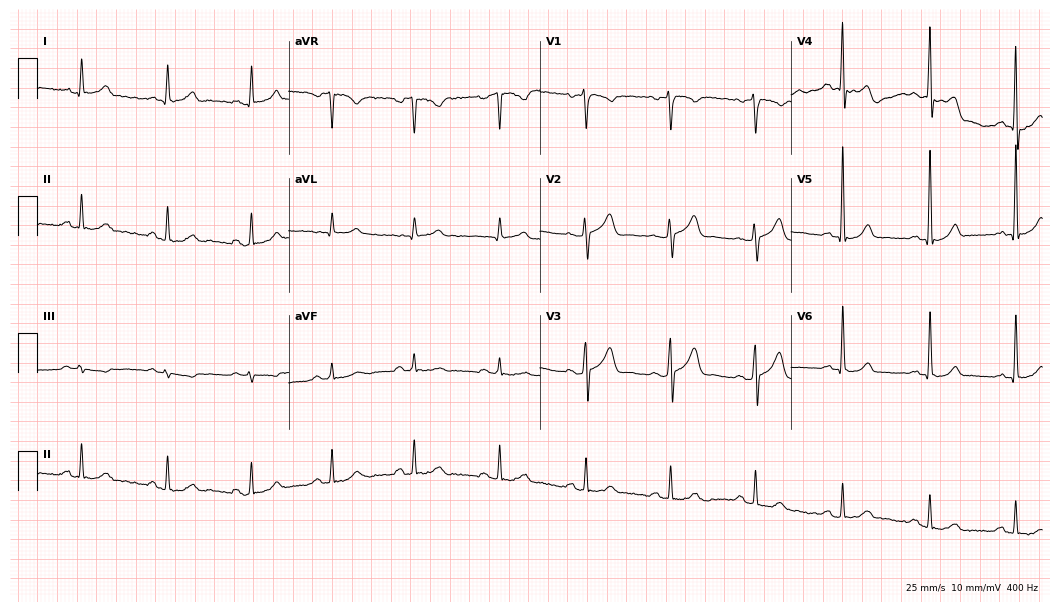
Resting 12-lead electrocardiogram (10.2-second recording at 400 Hz). Patient: a 47-year-old man. Read as a normal ECG.